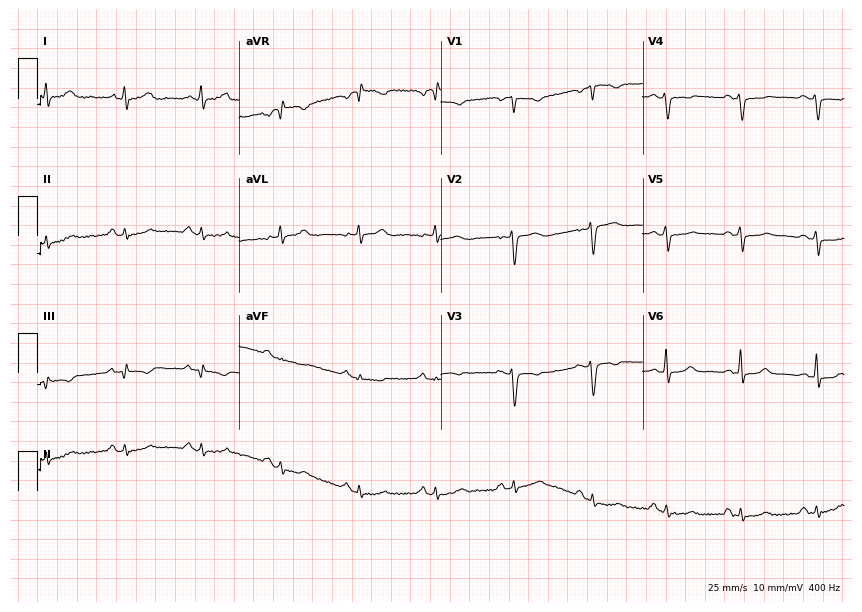
12-lead ECG from a woman, 39 years old. No first-degree AV block, right bundle branch block (RBBB), left bundle branch block (LBBB), sinus bradycardia, atrial fibrillation (AF) or sinus tachycardia recorded for this tracing.